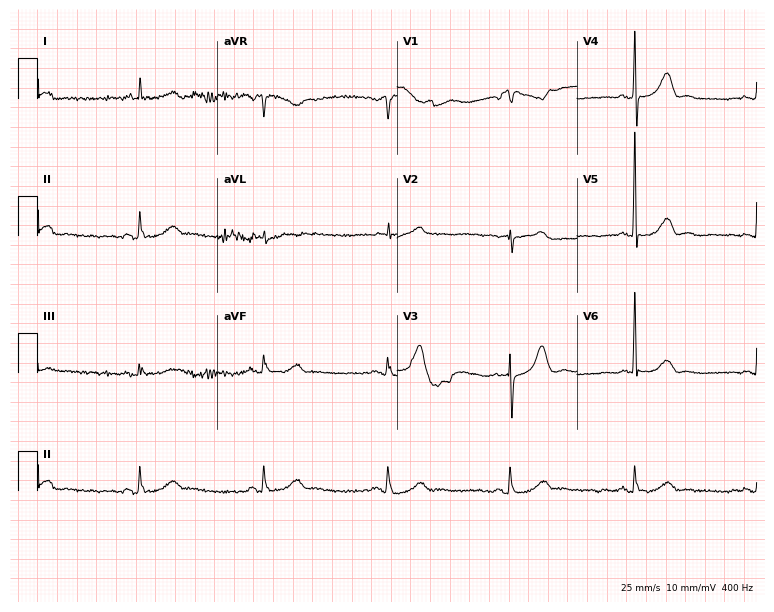
Resting 12-lead electrocardiogram (7.3-second recording at 400 Hz). Patient: an 84-year-old man. The tracing shows sinus bradycardia (a sinus rate of 50 beats per minute or less).